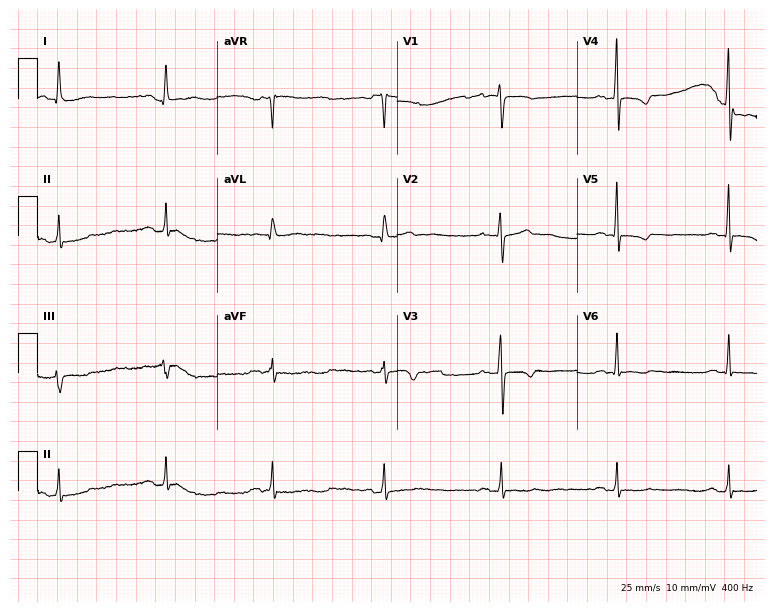
12-lead ECG from a woman, 63 years old (7.3-second recording at 400 Hz). No first-degree AV block, right bundle branch block, left bundle branch block, sinus bradycardia, atrial fibrillation or sinus tachycardia recorded for this tracing.